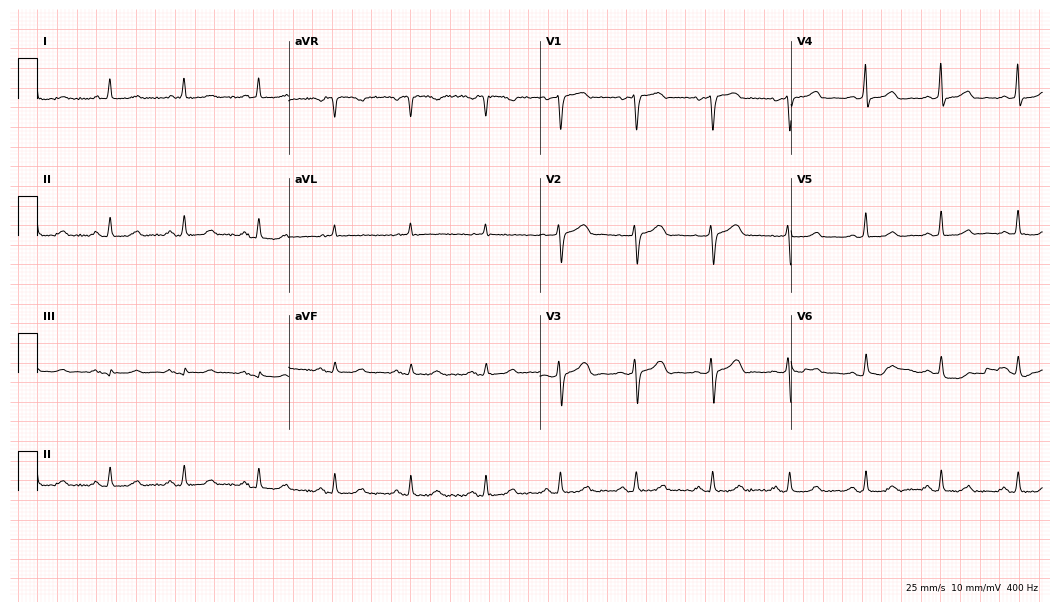
Standard 12-lead ECG recorded from a 61-year-old female. Read as a normal ECG.